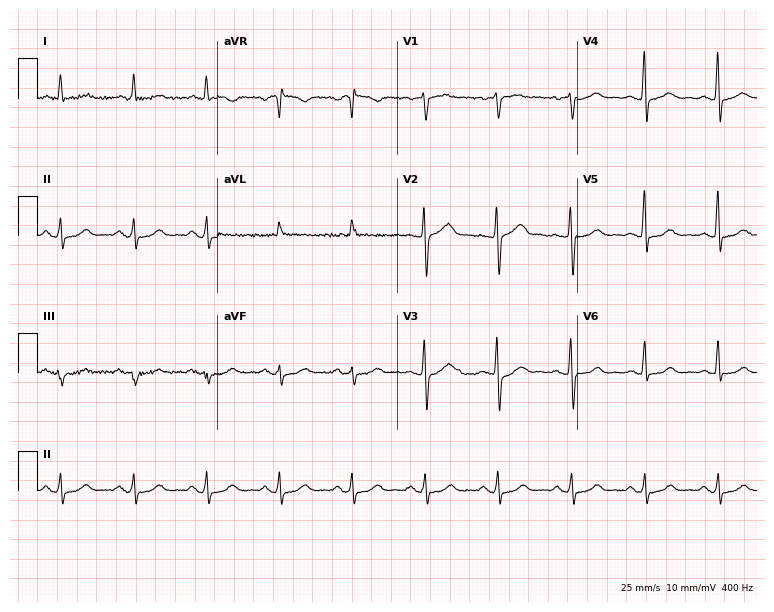
Resting 12-lead electrocardiogram. Patient: an 85-year-old female. Read as a normal ECG.